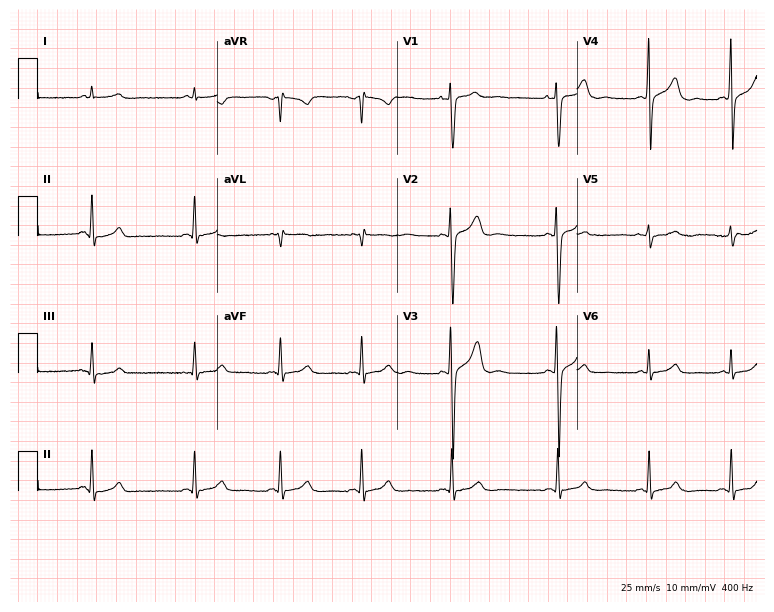
12-lead ECG from a 38-year-old female patient. Recorded interpretation: within normal limits.